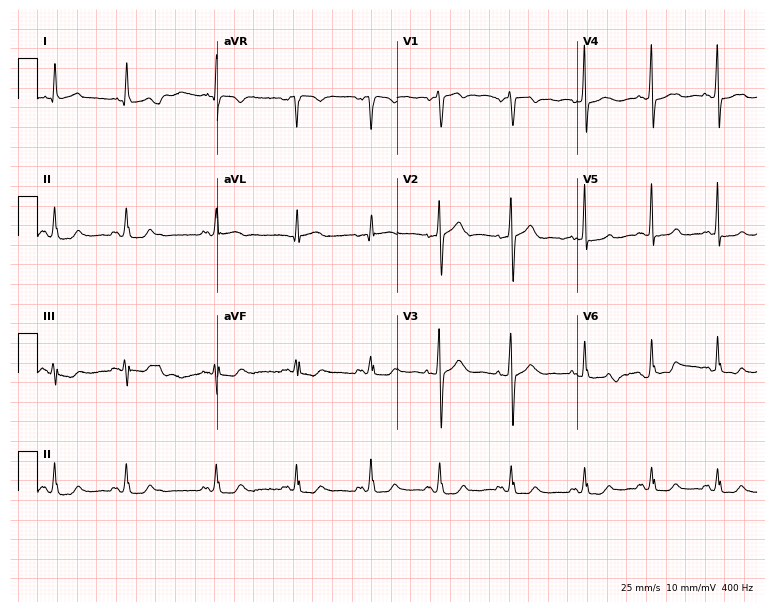
ECG (7.3-second recording at 400 Hz) — a 54-year-old male patient. Screened for six findings — first-degree AV block, right bundle branch block (RBBB), left bundle branch block (LBBB), sinus bradycardia, atrial fibrillation (AF), sinus tachycardia — none is recorded. Findings outside these six are not listed.